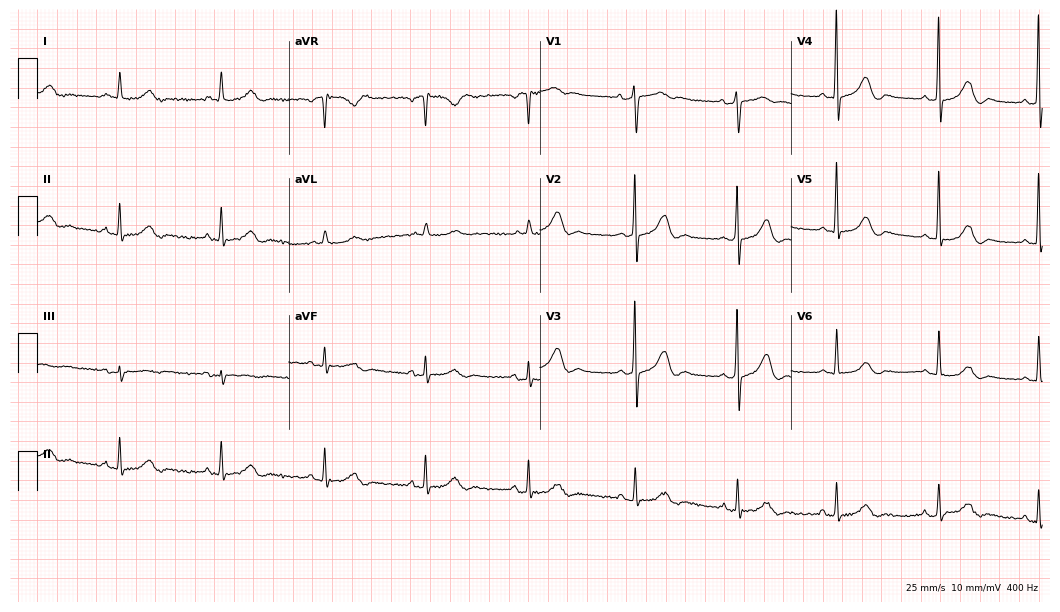
12-lead ECG from a 67-year-old woman. Screened for six findings — first-degree AV block, right bundle branch block, left bundle branch block, sinus bradycardia, atrial fibrillation, sinus tachycardia — none is recorded. Findings outside these six are not listed.